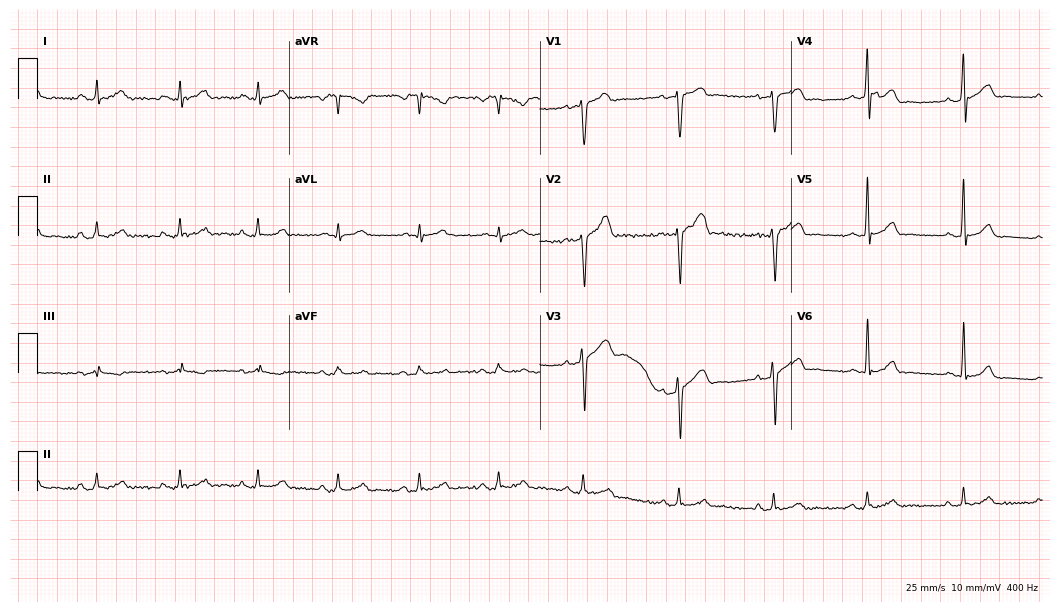
Standard 12-lead ECG recorded from a 32-year-old male (10.2-second recording at 400 Hz). Read as a normal ECG.